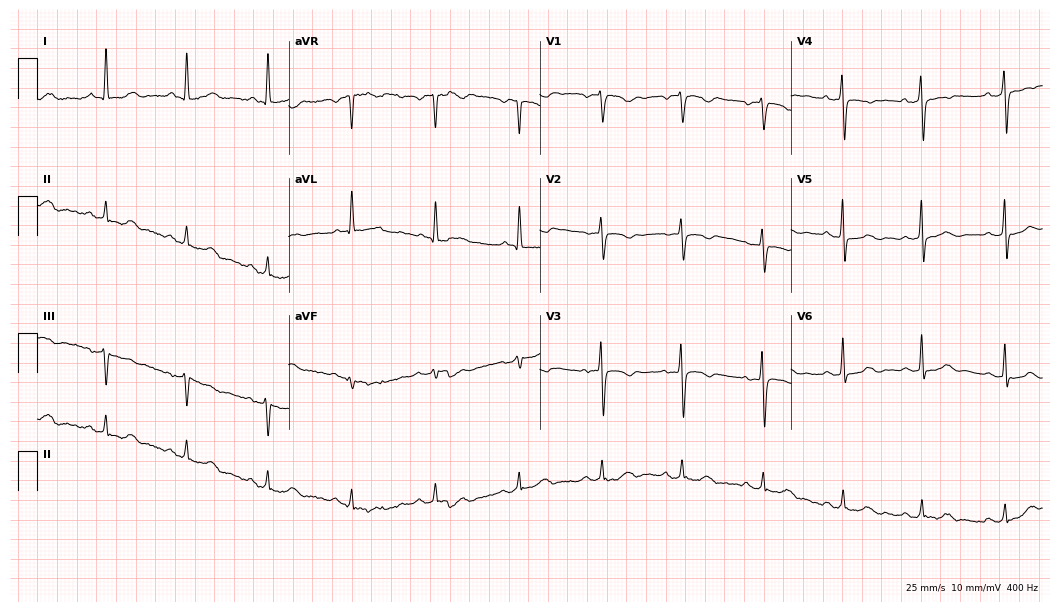
12-lead ECG from an 82-year-old woman. Screened for six findings — first-degree AV block, right bundle branch block, left bundle branch block, sinus bradycardia, atrial fibrillation, sinus tachycardia — none is recorded.